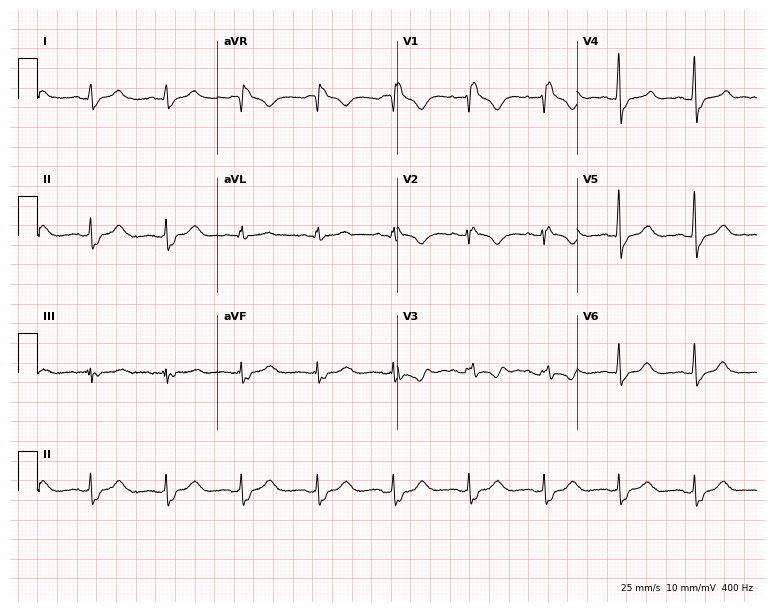
12-lead ECG from a 38-year-old female patient (7.3-second recording at 400 Hz). No first-degree AV block, right bundle branch block, left bundle branch block, sinus bradycardia, atrial fibrillation or sinus tachycardia recorded for this tracing.